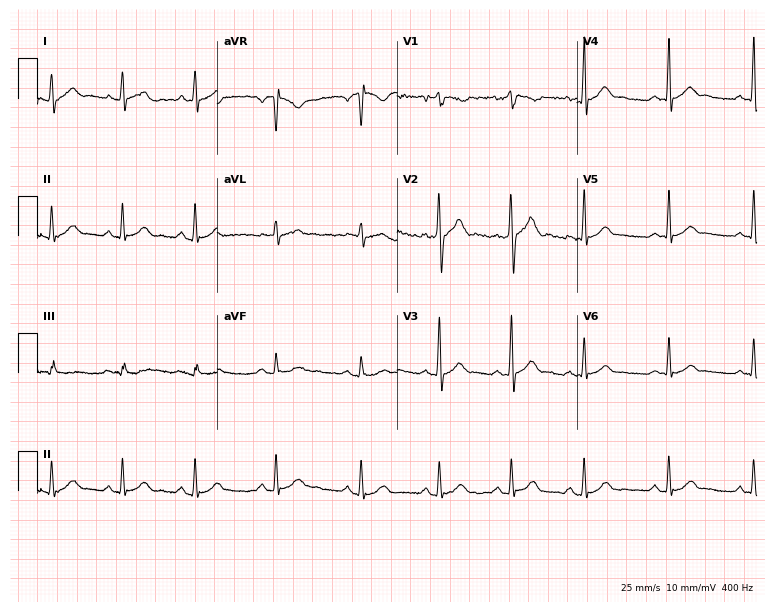
12-lead ECG from a man, 30 years old. Recorded interpretation: within normal limits.